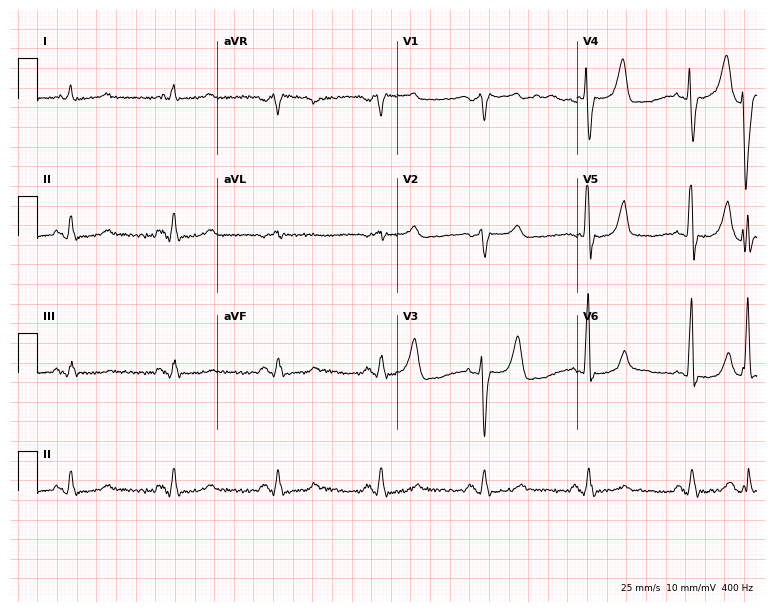
Resting 12-lead electrocardiogram (7.3-second recording at 400 Hz). Patient: a 70-year-old male. None of these six findings is recorded: first-degree AV block, right bundle branch block (RBBB), left bundle branch block (LBBB), sinus bradycardia, atrial fibrillation (AF), sinus tachycardia. Other findings, if any, are not listed.